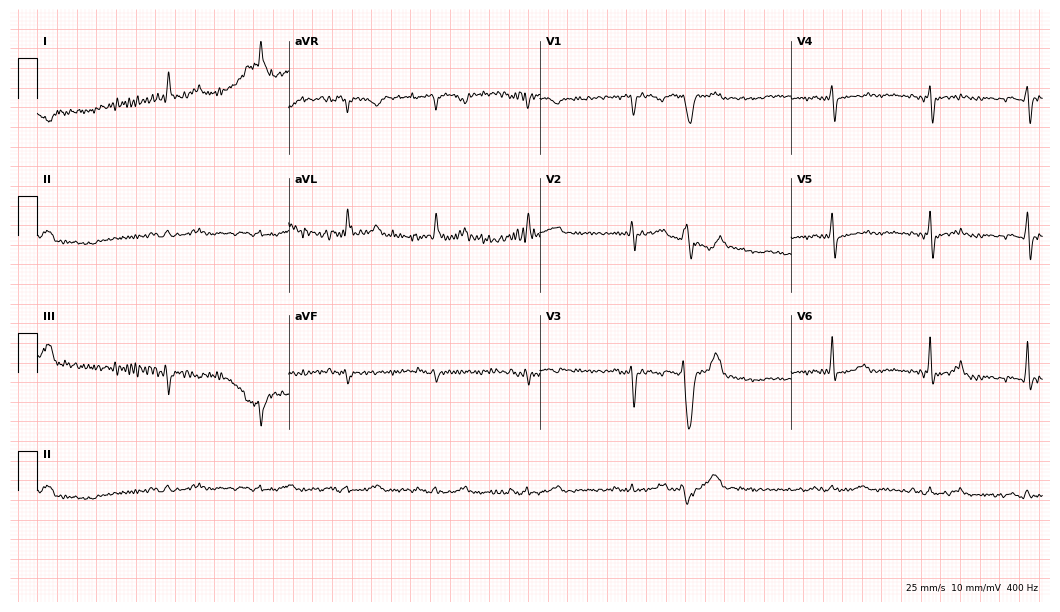
Resting 12-lead electrocardiogram (10.2-second recording at 400 Hz). Patient: a man, 81 years old. None of these six findings is recorded: first-degree AV block, right bundle branch block, left bundle branch block, sinus bradycardia, atrial fibrillation, sinus tachycardia.